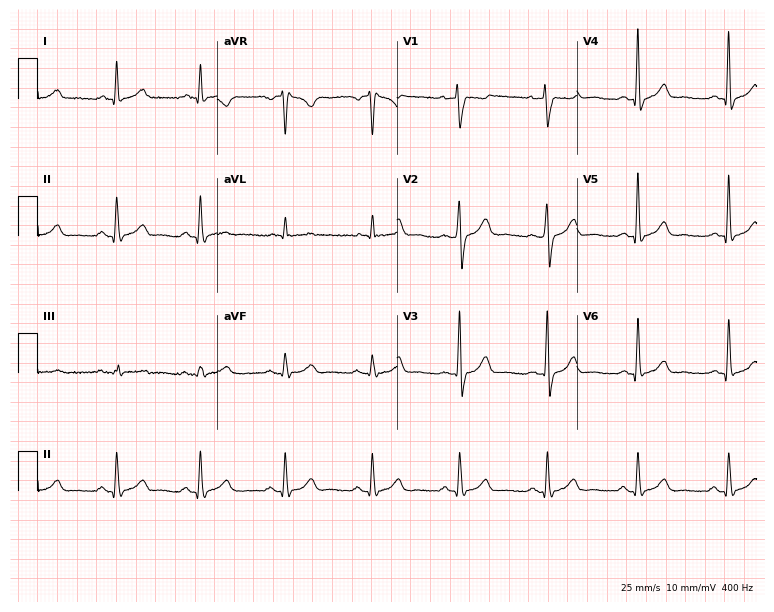
Resting 12-lead electrocardiogram. Patient: a male, 59 years old. None of these six findings is recorded: first-degree AV block, right bundle branch block (RBBB), left bundle branch block (LBBB), sinus bradycardia, atrial fibrillation (AF), sinus tachycardia.